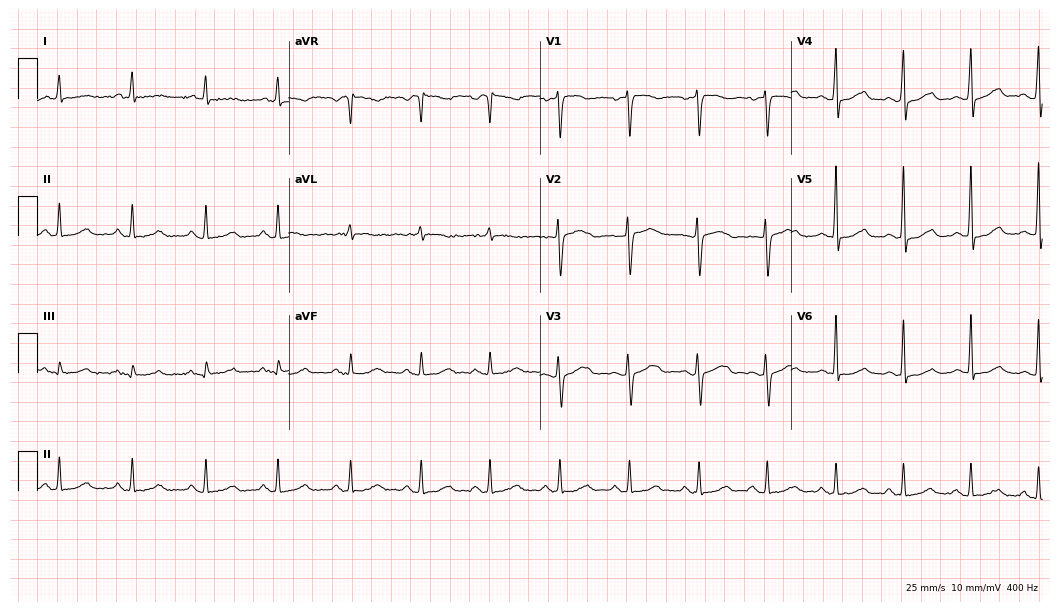
12-lead ECG from a male, 50 years old (10.2-second recording at 400 Hz). Recorded interpretation: within normal limits.